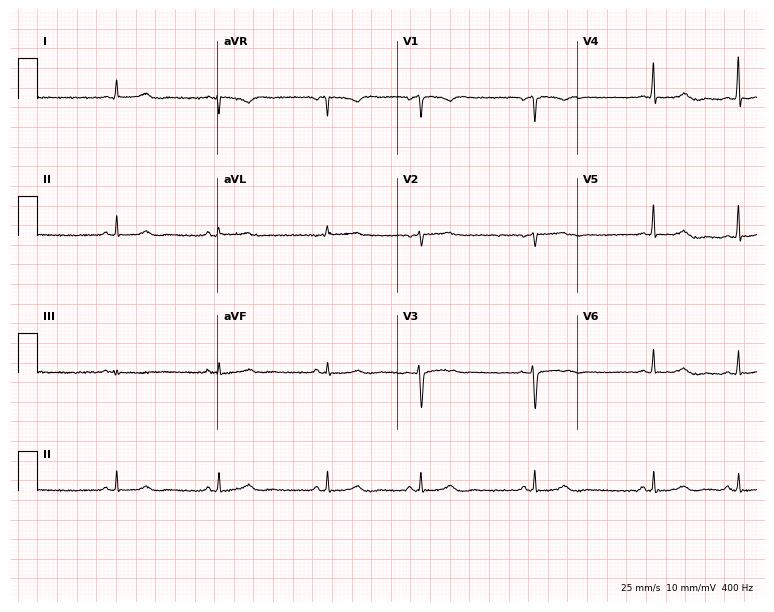
ECG (7.3-second recording at 400 Hz) — a female, 33 years old. Labelled as a normal ECG.